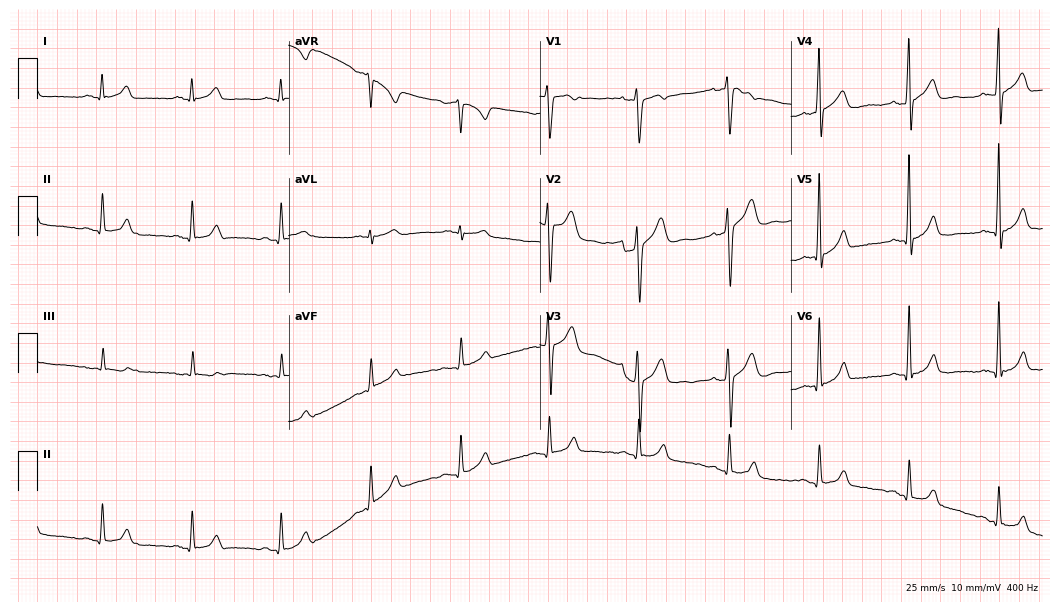
12-lead ECG (10.2-second recording at 400 Hz) from a 33-year-old male. Screened for six findings — first-degree AV block, right bundle branch block, left bundle branch block, sinus bradycardia, atrial fibrillation, sinus tachycardia — none is recorded.